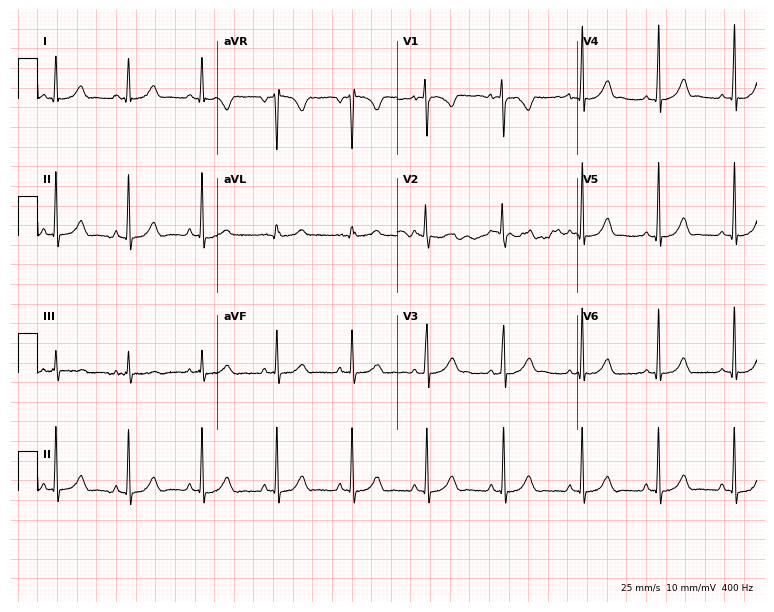
Standard 12-lead ECG recorded from a 21-year-old female. Read as a normal ECG.